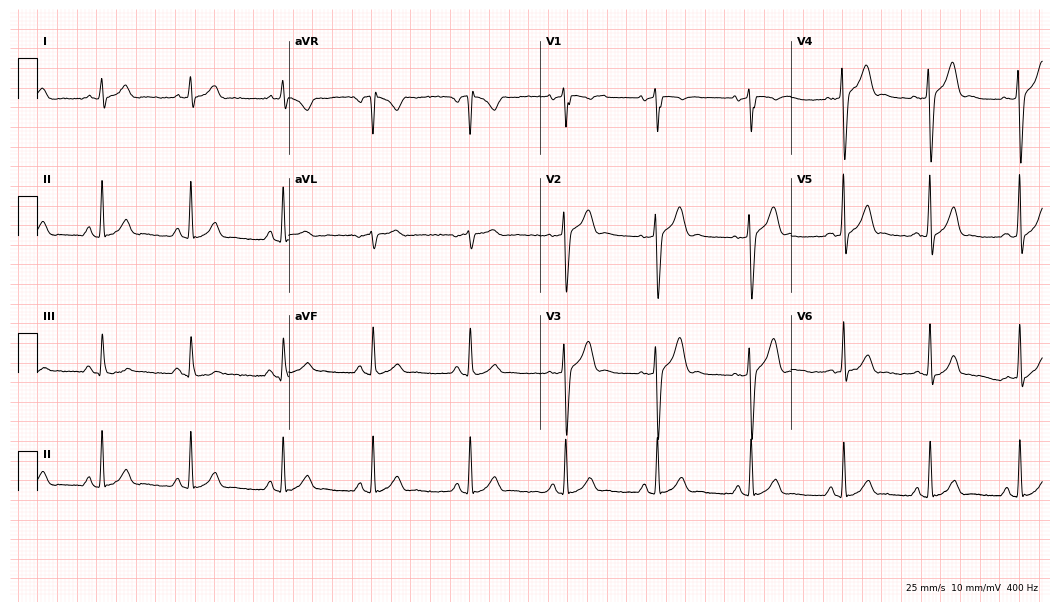
12-lead ECG from a 21-year-old male. Recorded interpretation: within normal limits.